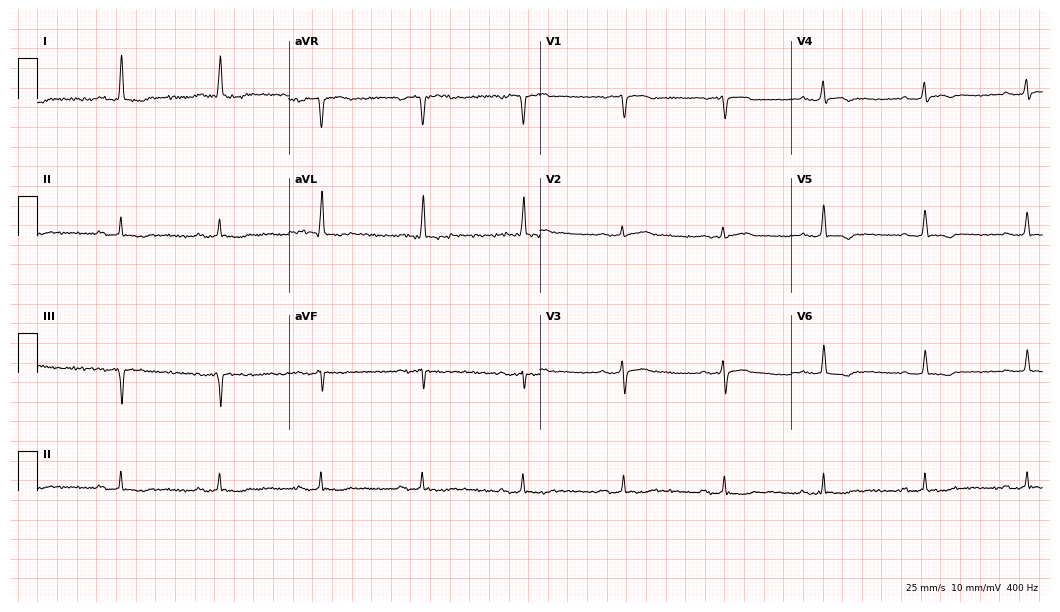
Standard 12-lead ECG recorded from a 72-year-old female patient (10.2-second recording at 400 Hz). None of these six findings is recorded: first-degree AV block, right bundle branch block, left bundle branch block, sinus bradycardia, atrial fibrillation, sinus tachycardia.